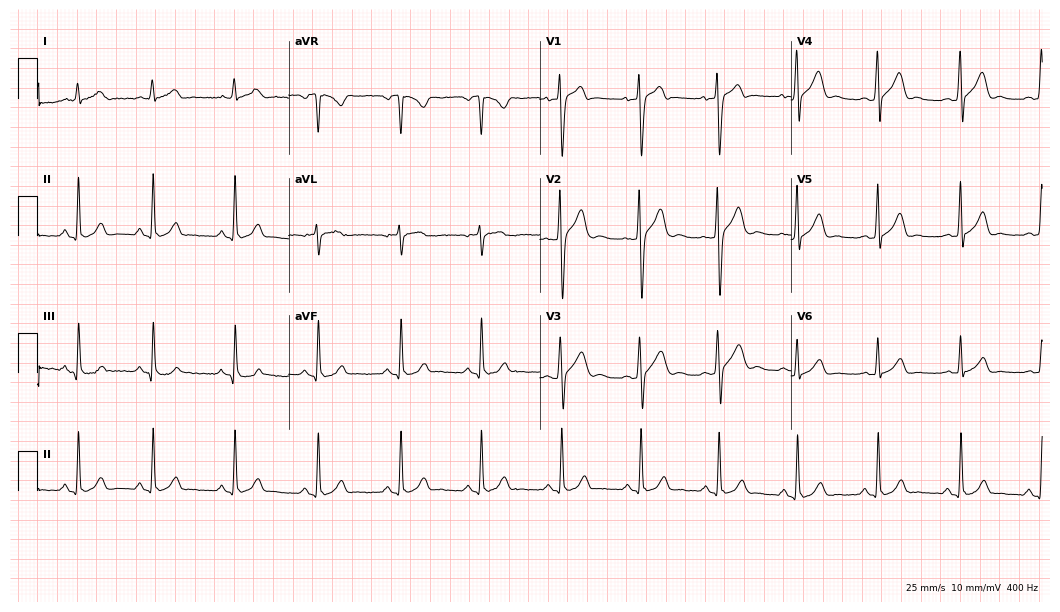
12-lead ECG from a man, 25 years old. Screened for six findings — first-degree AV block, right bundle branch block, left bundle branch block, sinus bradycardia, atrial fibrillation, sinus tachycardia — none is recorded. Other findings, if any, are not listed.